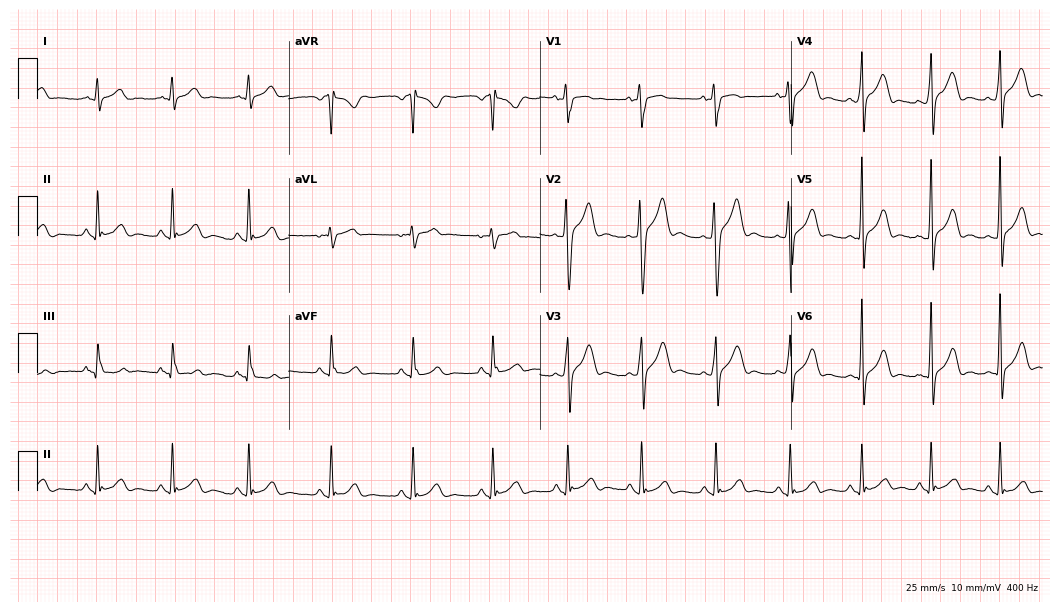
Electrocardiogram, a man, 20 years old. Overall reading on record: normal ECG.